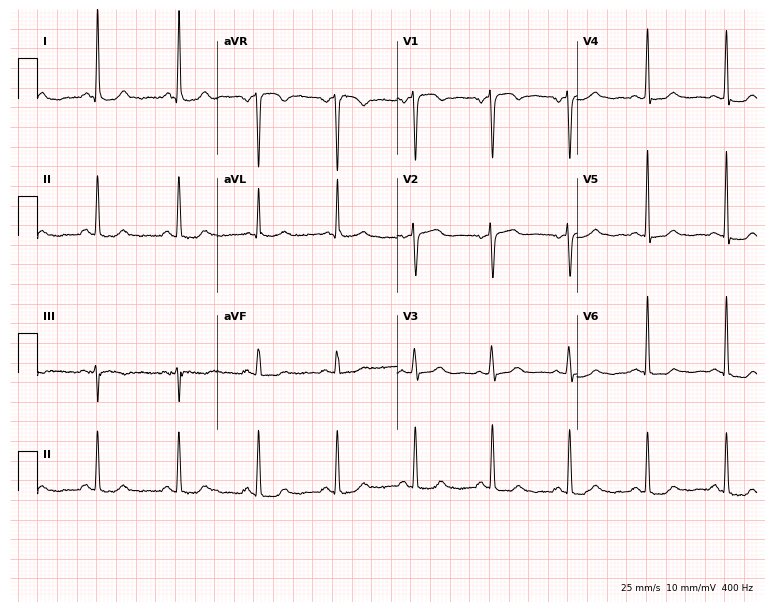
Resting 12-lead electrocardiogram. Patient: an 80-year-old female. None of these six findings is recorded: first-degree AV block, right bundle branch block, left bundle branch block, sinus bradycardia, atrial fibrillation, sinus tachycardia.